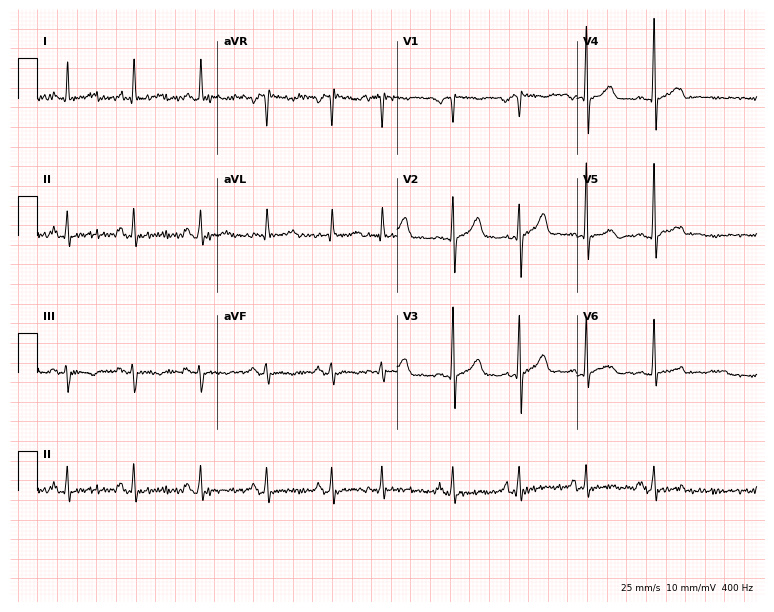
ECG — a 54-year-old male. Labelled as a normal ECG.